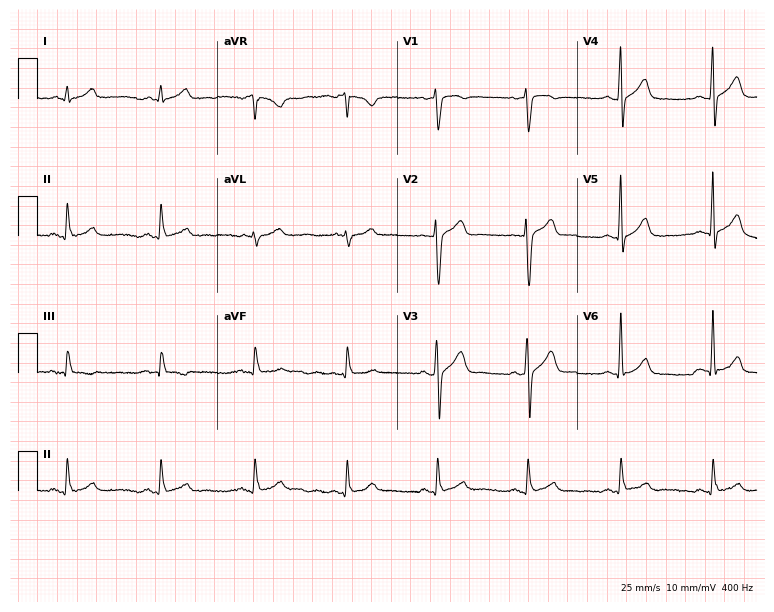
Standard 12-lead ECG recorded from a male patient, 27 years old. Read as a normal ECG.